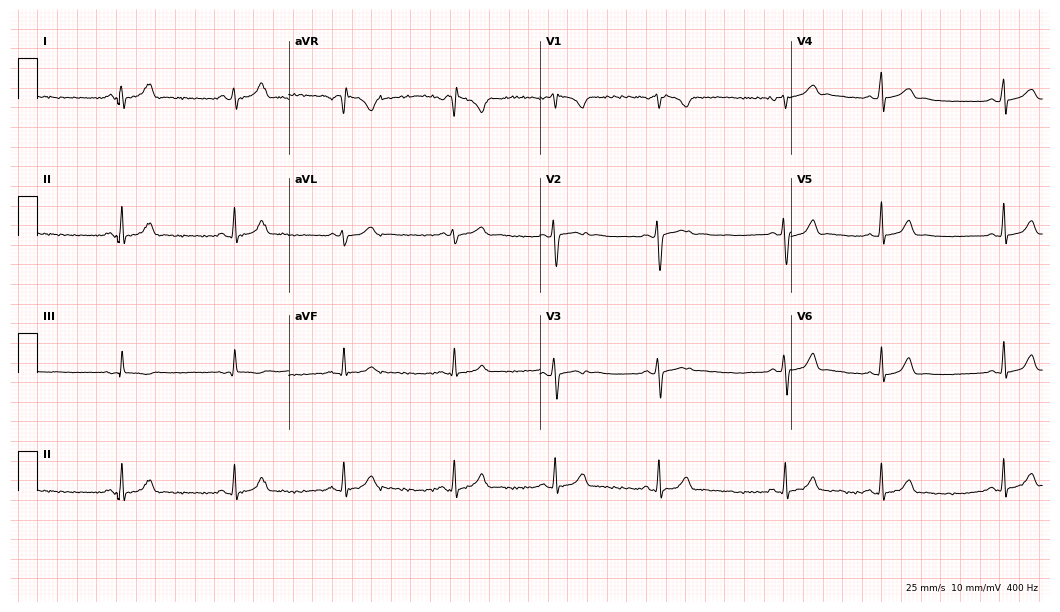
ECG (10.2-second recording at 400 Hz) — a female patient, 17 years old. Labelled as a normal ECG.